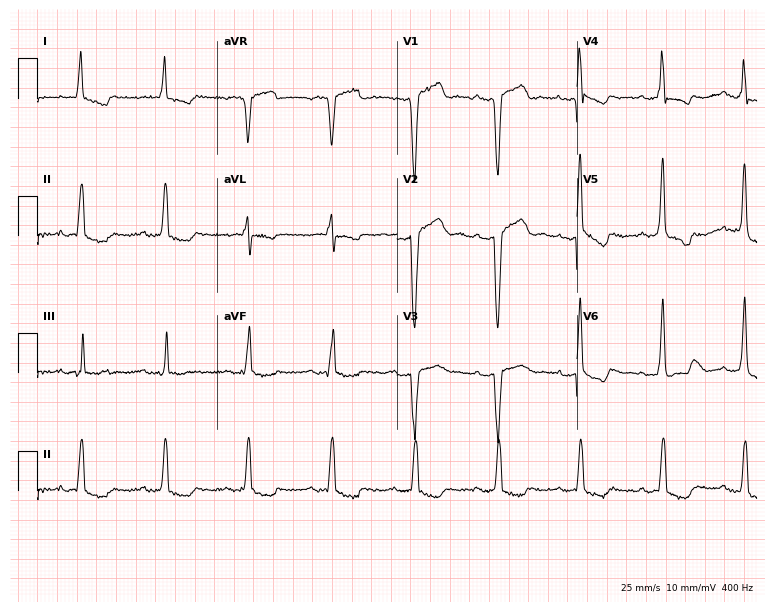
12-lead ECG (7.3-second recording at 400 Hz) from a 68-year-old man. Screened for six findings — first-degree AV block, right bundle branch block, left bundle branch block, sinus bradycardia, atrial fibrillation, sinus tachycardia — none is recorded.